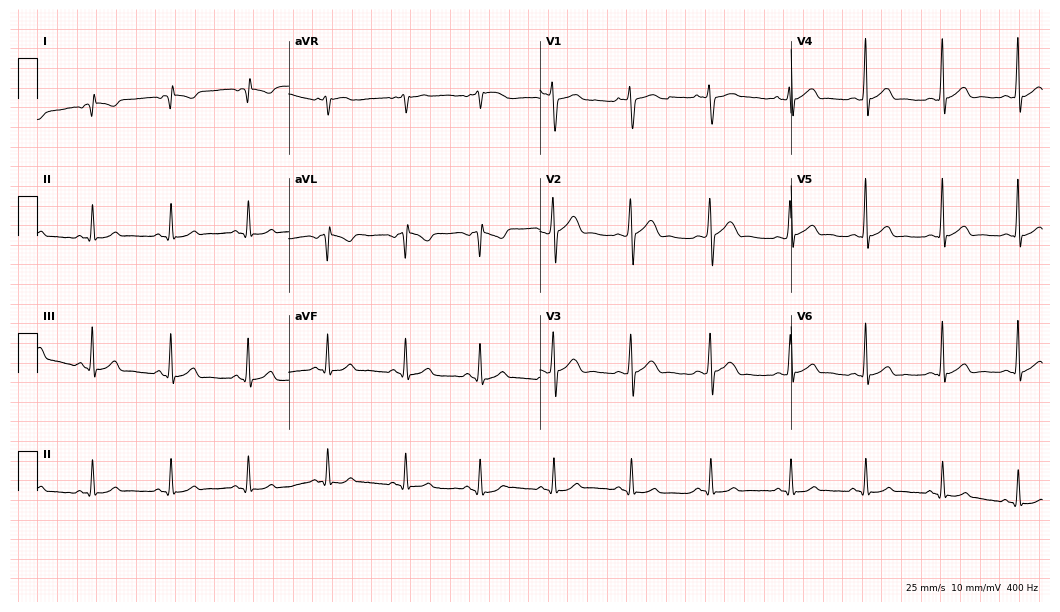
ECG — a 29-year-old male patient. Screened for six findings — first-degree AV block, right bundle branch block, left bundle branch block, sinus bradycardia, atrial fibrillation, sinus tachycardia — none is recorded. Only these six findings were labelled.